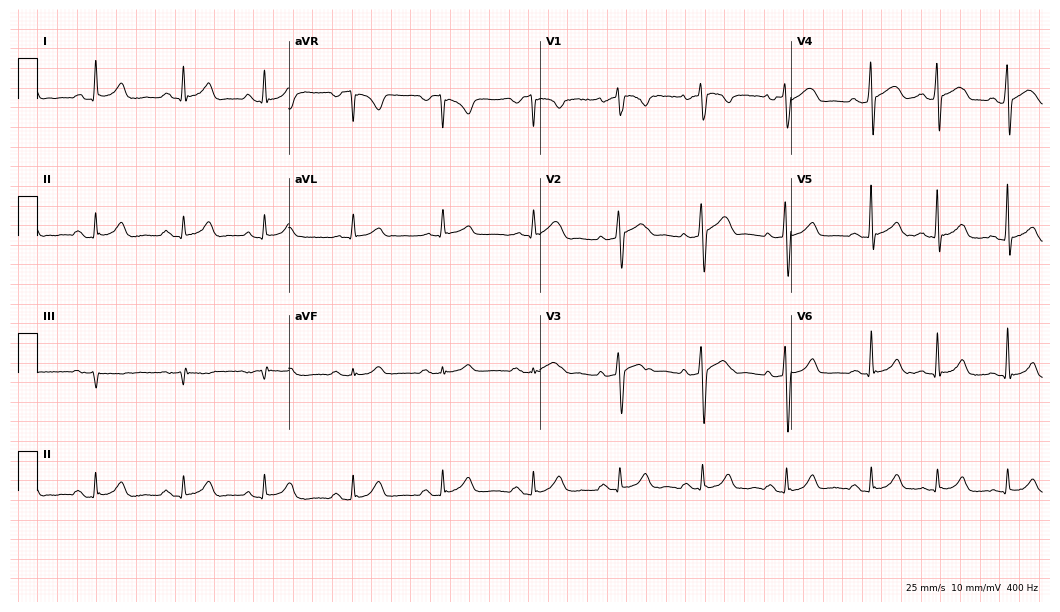
12-lead ECG from a male patient, 41 years old. Recorded interpretation: within normal limits.